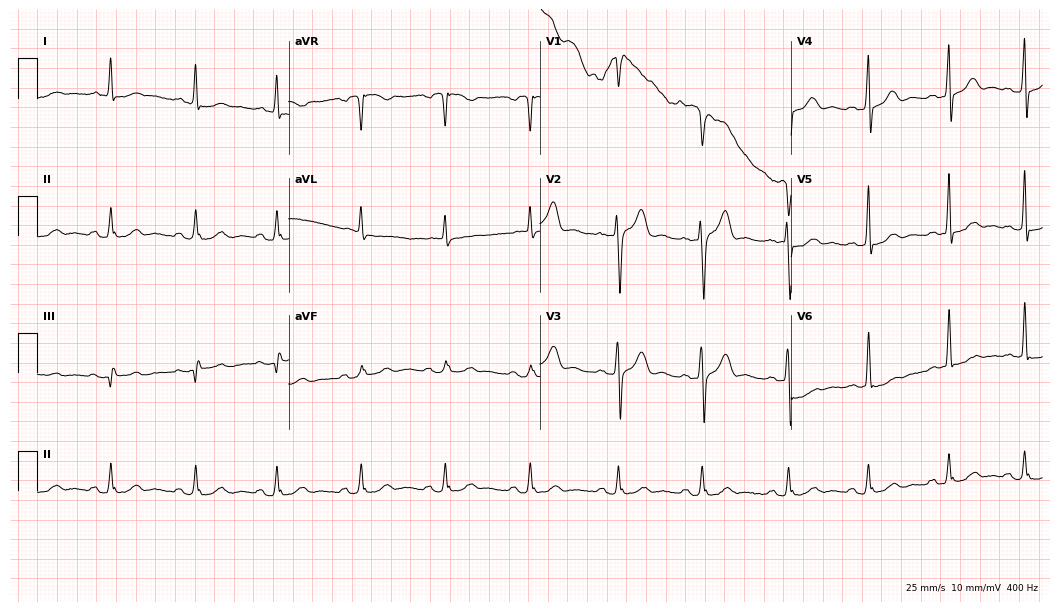
12-lead ECG (10.2-second recording at 400 Hz) from a 40-year-old male. Screened for six findings — first-degree AV block, right bundle branch block (RBBB), left bundle branch block (LBBB), sinus bradycardia, atrial fibrillation (AF), sinus tachycardia — none is recorded.